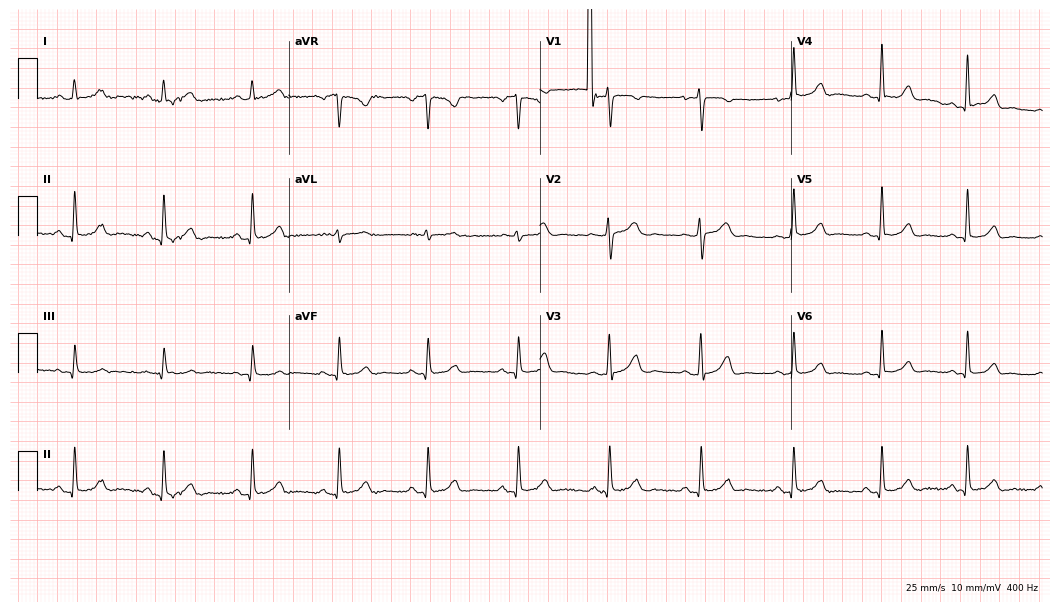
Resting 12-lead electrocardiogram. Patient: a 49-year-old female. None of these six findings is recorded: first-degree AV block, right bundle branch block, left bundle branch block, sinus bradycardia, atrial fibrillation, sinus tachycardia.